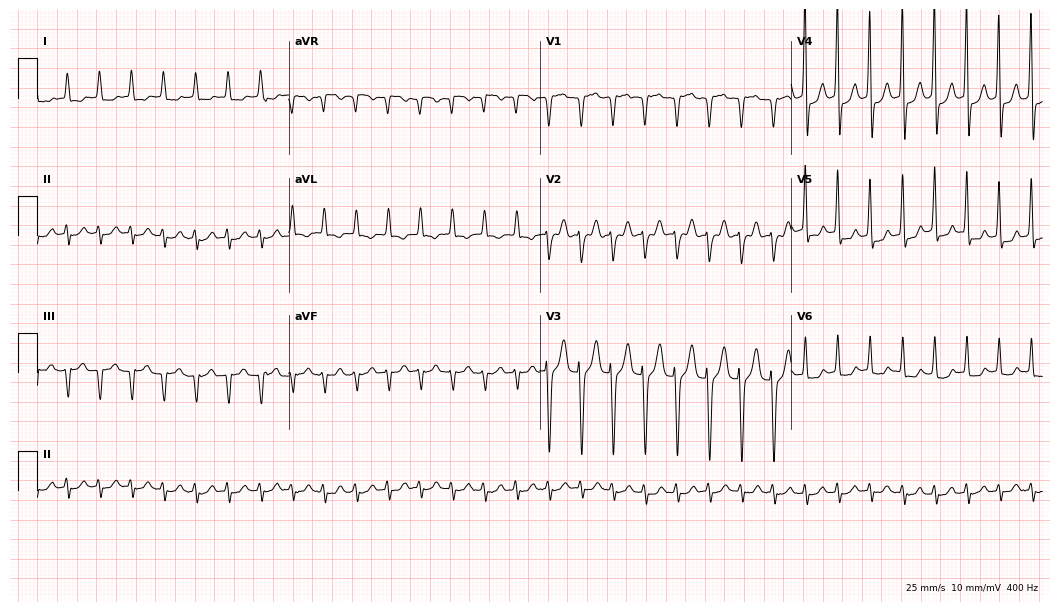
Electrocardiogram (10.2-second recording at 400 Hz), a 60-year-old woman. Interpretation includes sinus tachycardia (a sinus rate of 100 beats per minute or more).